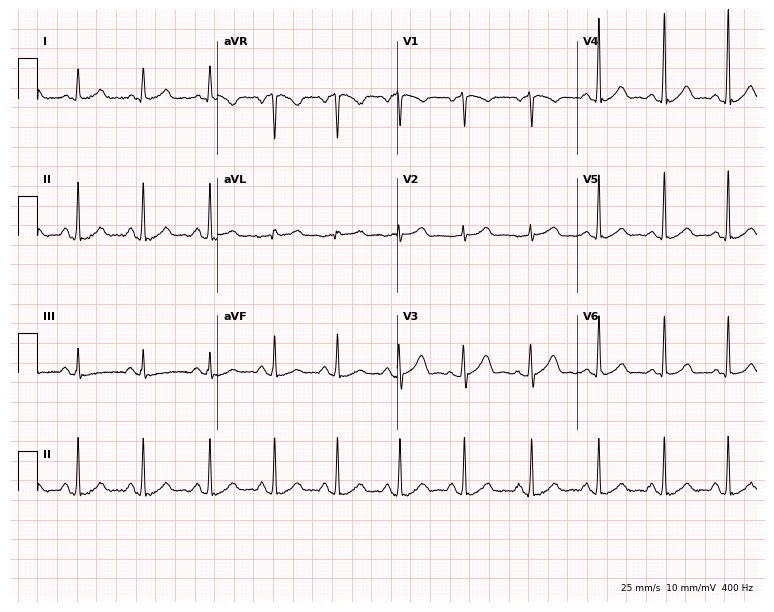
12-lead ECG from a 55-year-old woman (7.3-second recording at 400 Hz). Recorded interpretation: within normal limits.